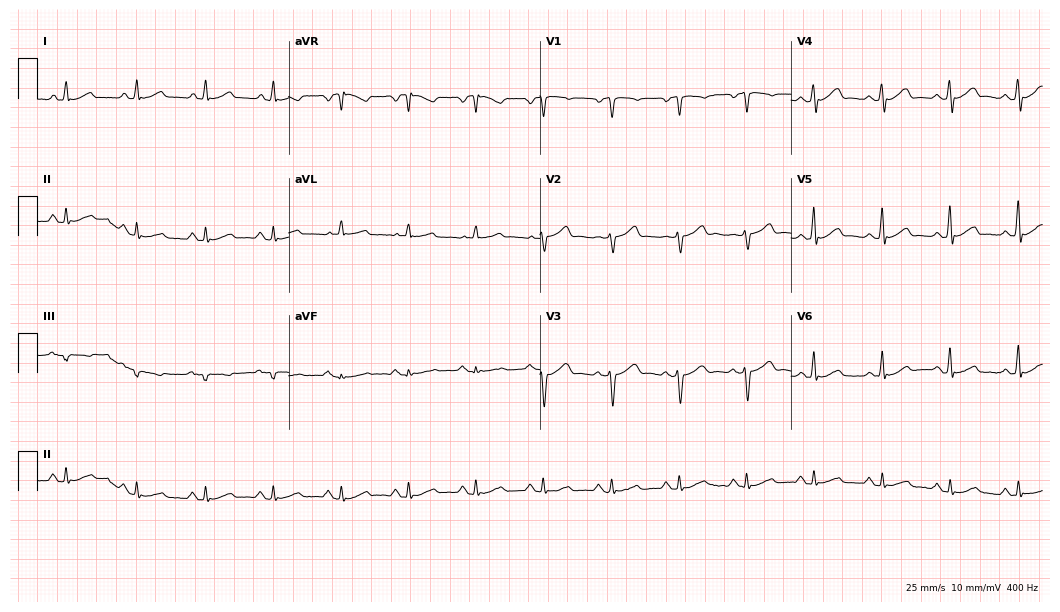
Resting 12-lead electrocardiogram (10.2-second recording at 400 Hz). Patient: a male, 59 years old. None of these six findings is recorded: first-degree AV block, right bundle branch block, left bundle branch block, sinus bradycardia, atrial fibrillation, sinus tachycardia. Only these six findings were labelled.